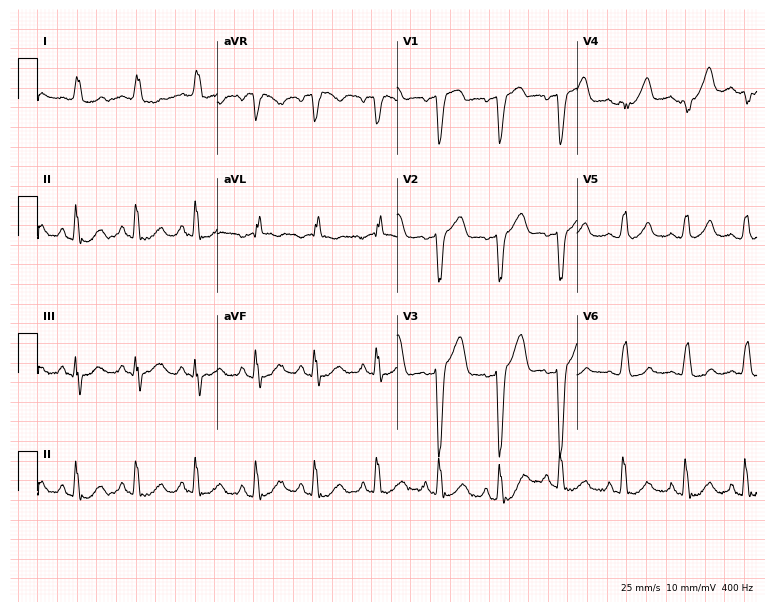
12-lead ECG from a 62-year-old woman. Screened for six findings — first-degree AV block, right bundle branch block, left bundle branch block, sinus bradycardia, atrial fibrillation, sinus tachycardia — none is recorded.